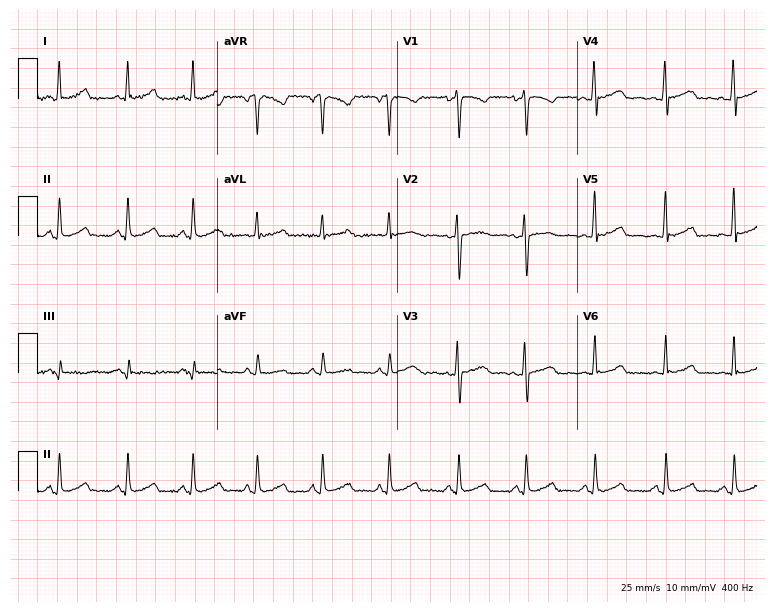
Resting 12-lead electrocardiogram (7.3-second recording at 400 Hz). Patient: a female, 29 years old. None of these six findings is recorded: first-degree AV block, right bundle branch block, left bundle branch block, sinus bradycardia, atrial fibrillation, sinus tachycardia. Only these six findings were labelled.